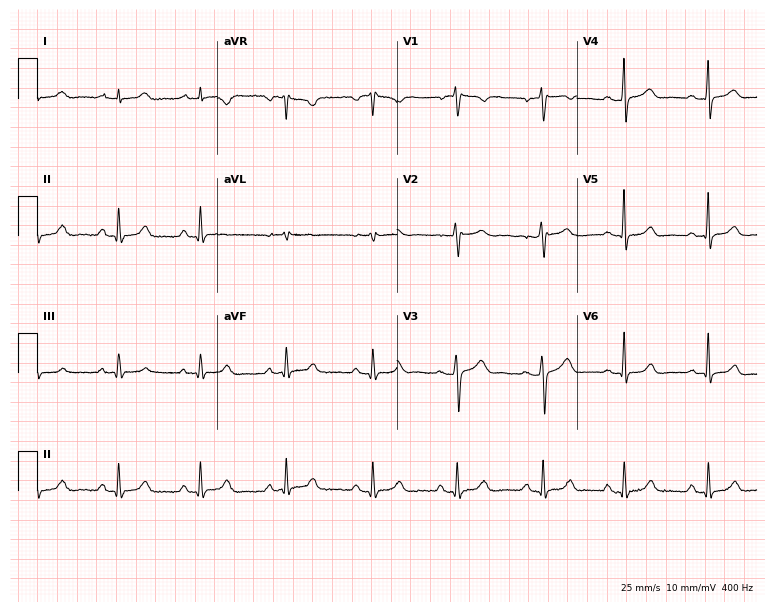
Electrocardiogram (7.3-second recording at 400 Hz), a 32-year-old female patient. Overall reading on record: normal ECG.